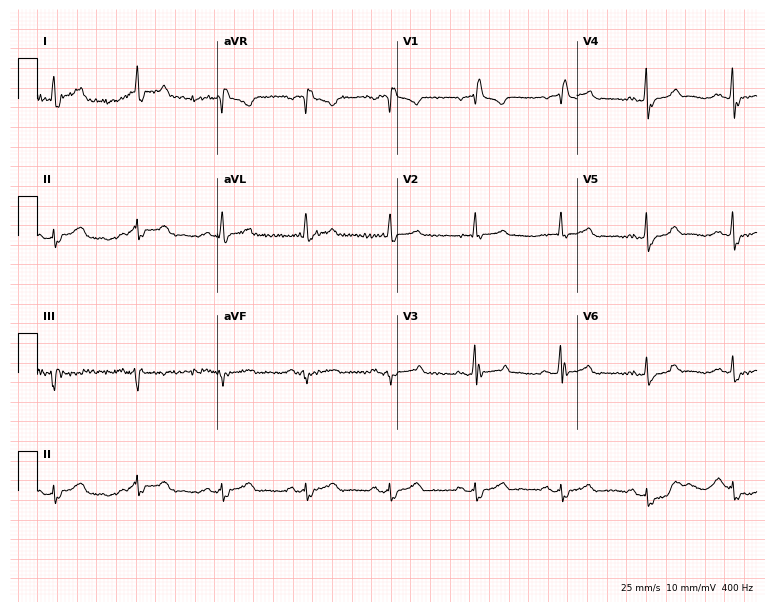
Resting 12-lead electrocardiogram. Patient: a man, 75 years old. The tracing shows right bundle branch block (RBBB).